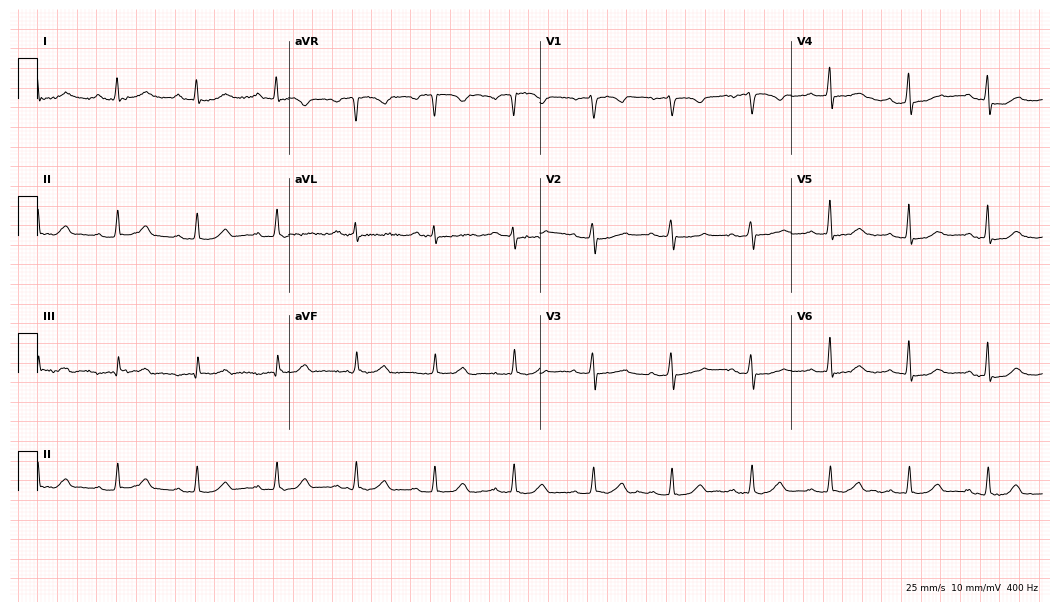
ECG — a female patient, 53 years old. Labelled as a normal ECG.